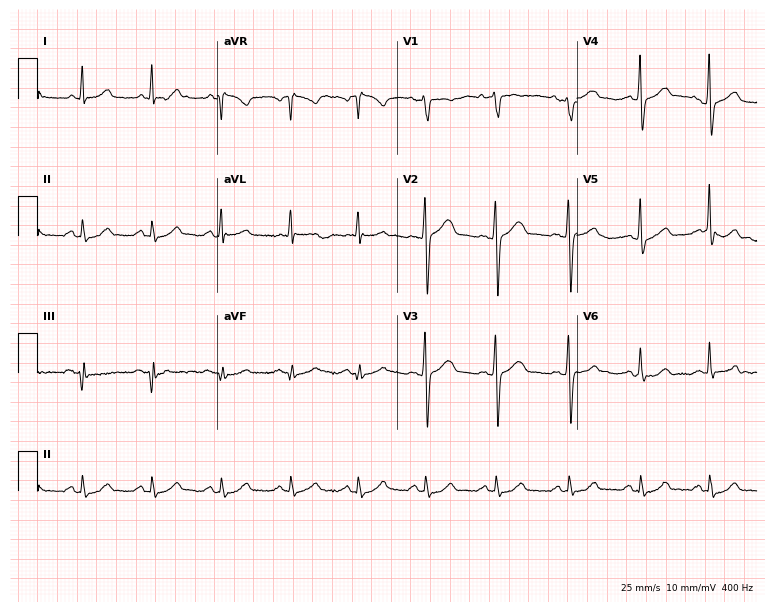
ECG (7.3-second recording at 400 Hz) — a male patient, 39 years old. Labelled as a normal ECG.